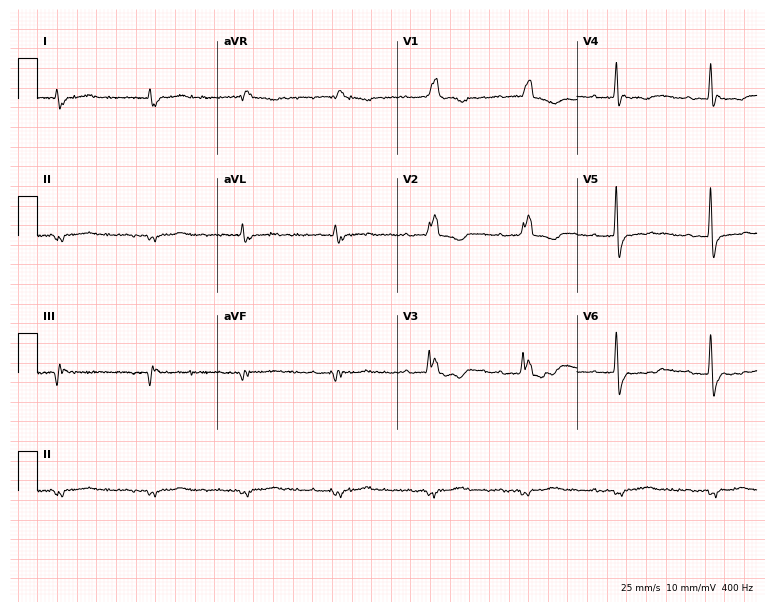
12-lead ECG from an 85-year-old male patient. Findings include first-degree AV block, right bundle branch block (RBBB).